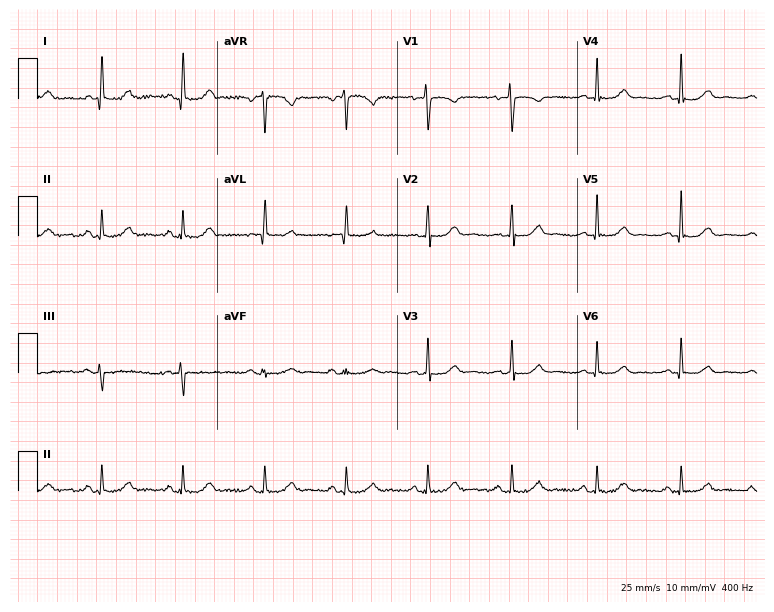
ECG (7.3-second recording at 400 Hz) — a 50-year-old female. Labelled as a normal ECG.